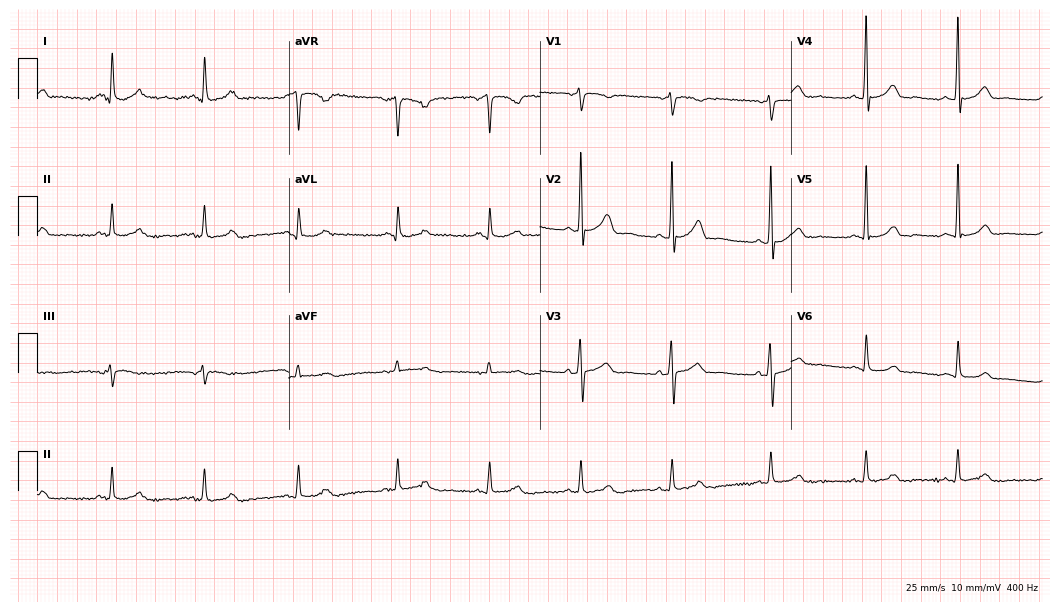
Resting 12-lead electrocardiogram (10.2-second recording at 400 Hz). Patient: a 63-year-old woman. Read as a normal ECG.